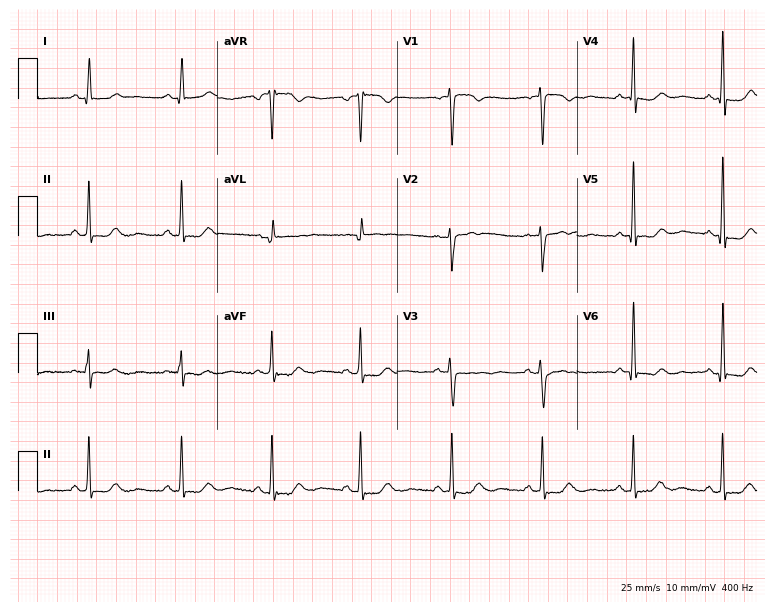
ECG — a 39-year-old female patient. Screened for six findings — first-degree AV block, right bundle branch block (RBBB), left bundle branch block (LBBB), sinus bradycardia, atrial fibrillation (AF), sinus tachycardia — none is recorded.